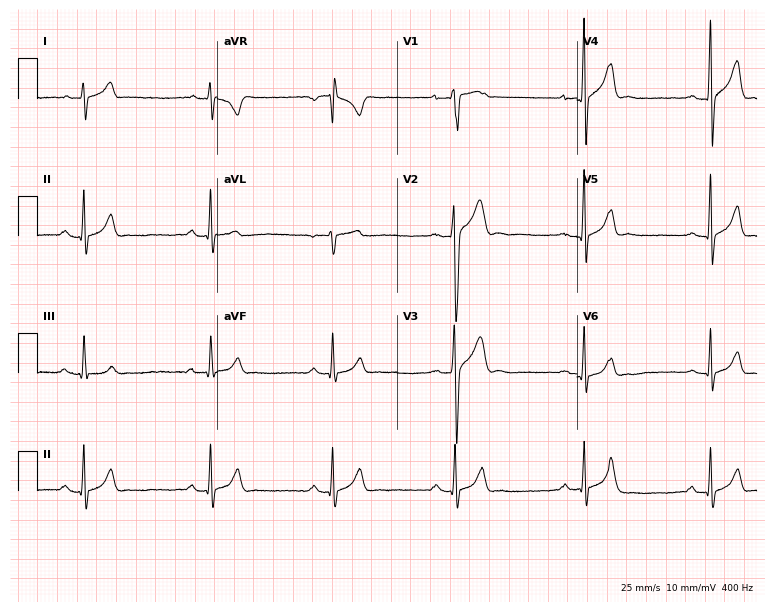
Resting 12-lead electrocardiogram (7.3-second recording at 400 Hz). Patient: a man, 19 years old. The tracing shows sinus bradycardia (a sinus rate of 50 beats per minute or less).